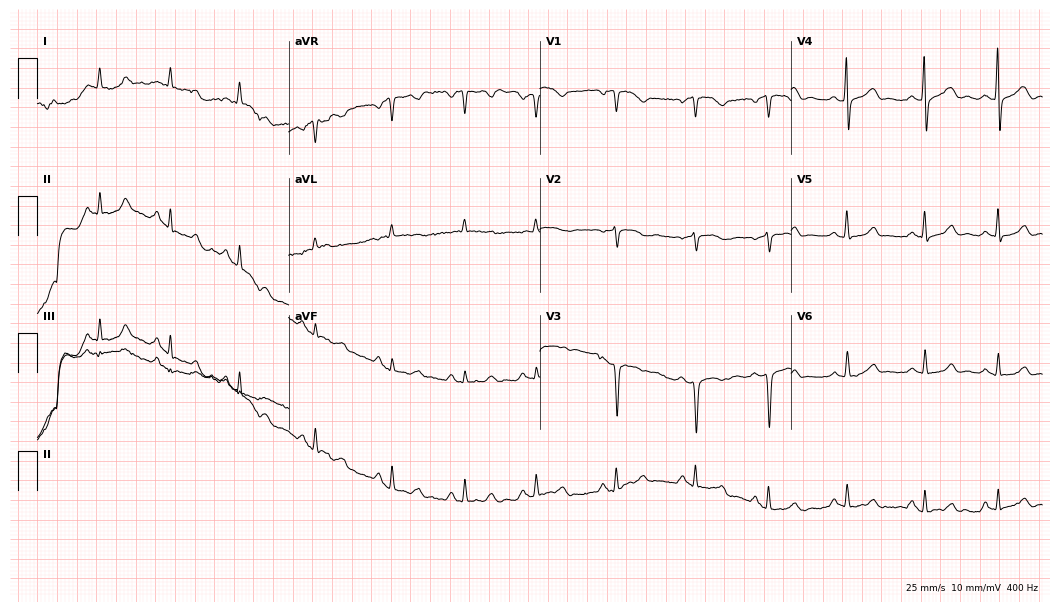
Electrocardiogram, a 51-year-old female. Of the six screened findings (first-degree AV block, right bundle branch block (RBBB), left bundle branch block (LBBB), sinus bradycardia, atrial fibrillation (AF), sinus tachycardia), none is recorded. Other findings, if any, are not listed.